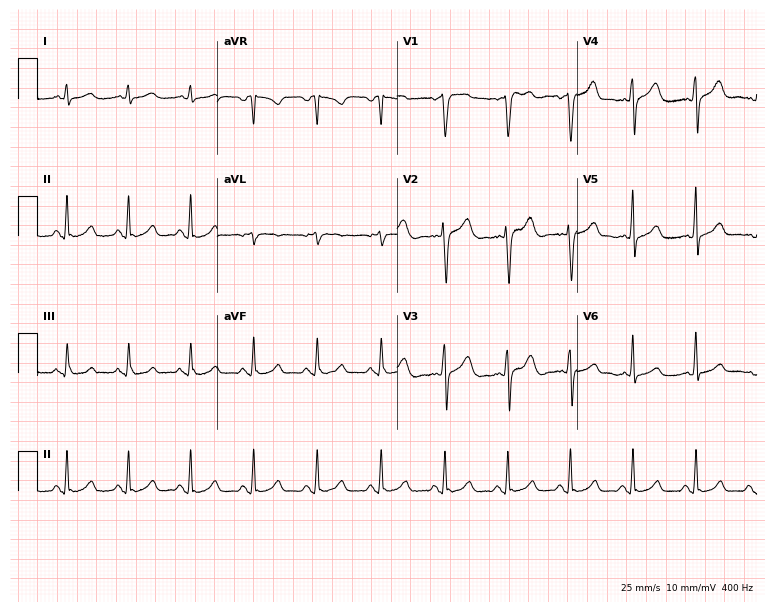
Standard 12-lead ECG recorded from a 44-year-old man. Read as a normal ECG.